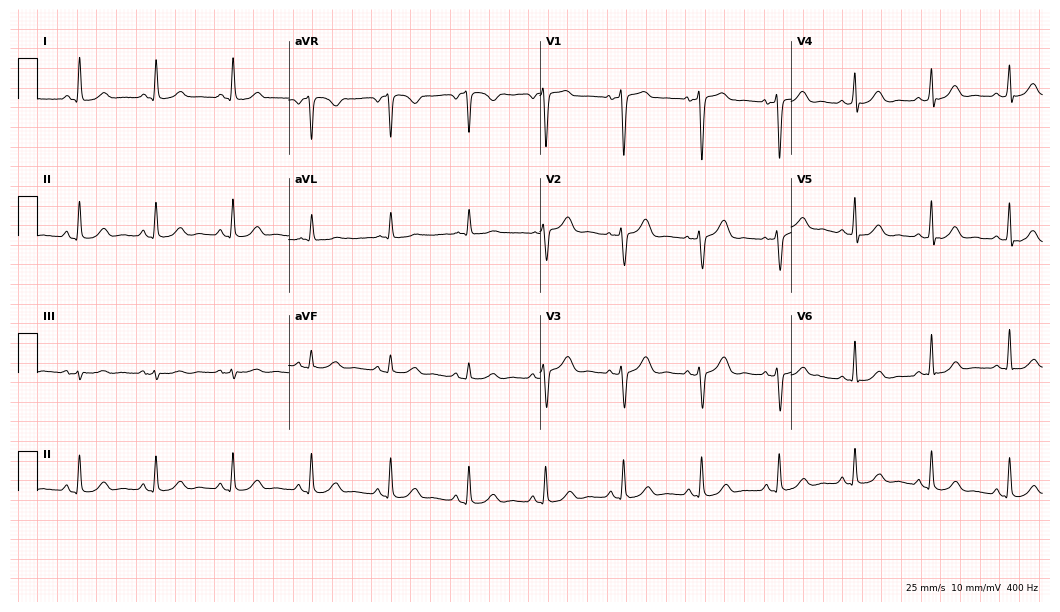
Electrocardiogram (10.2-second recording at 400 Hz), an 80-year-old female. Of the six screened findings (first-degree AV block, right bundle branch block (RBBB), left bundle branch block (LBBB), sinus bradycardia, atrial fibrillation (AF), sinus tachycardia), none is recorded. Only these six findings were labelled.